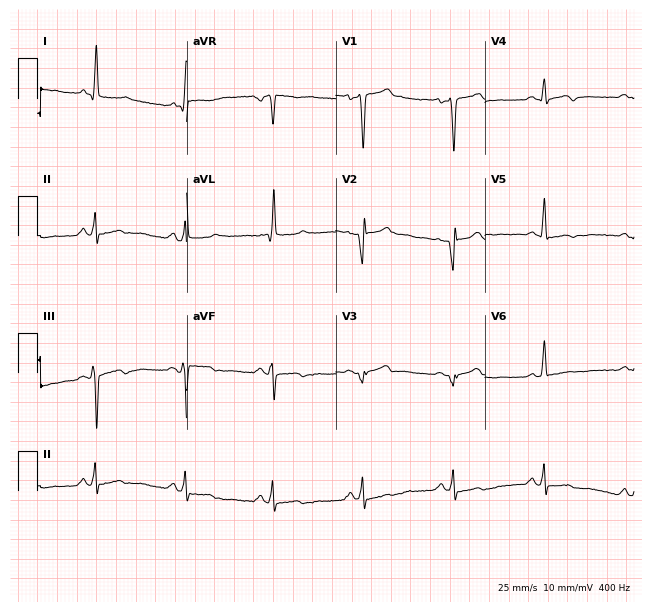
12-lead ECG from a 50-year-old man (6.1-second recording at 400 Hz). No first-degree AV block, right bundle branch block, left bundle branch block, sinus bradycardia, atrial fibrillation or sinus tachycardia recorded for this tracing.